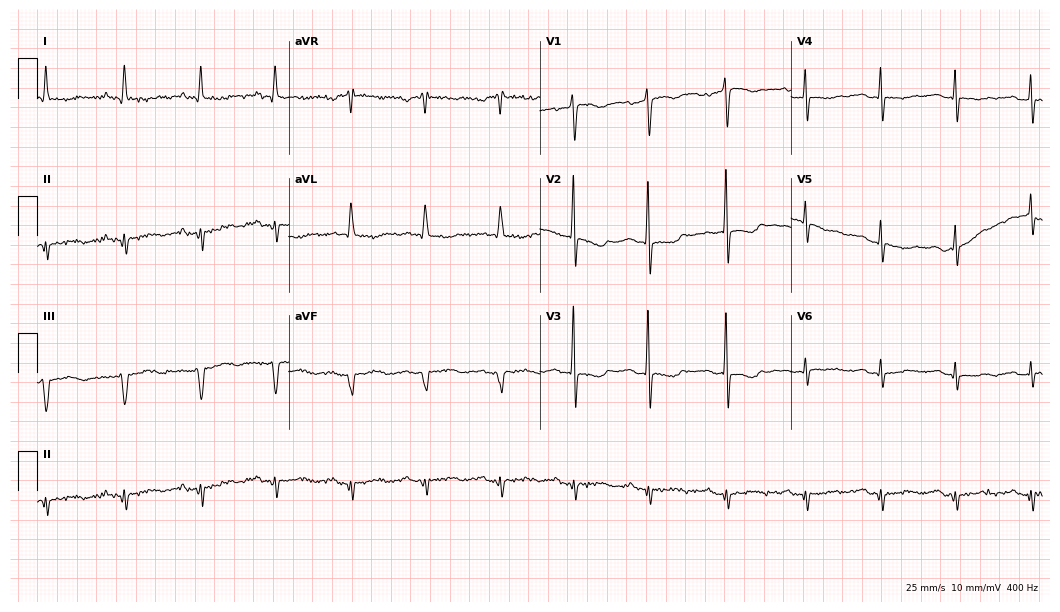
Electrocardiogram, a woman, 54 years old. Of the six screened findings (first-degree AV block, right bundle branch block, left bundle branch block, sinus bradycardia, atrial fibrillation, sinus tachycardia), none is recorded. Findings outside these six are not listed.